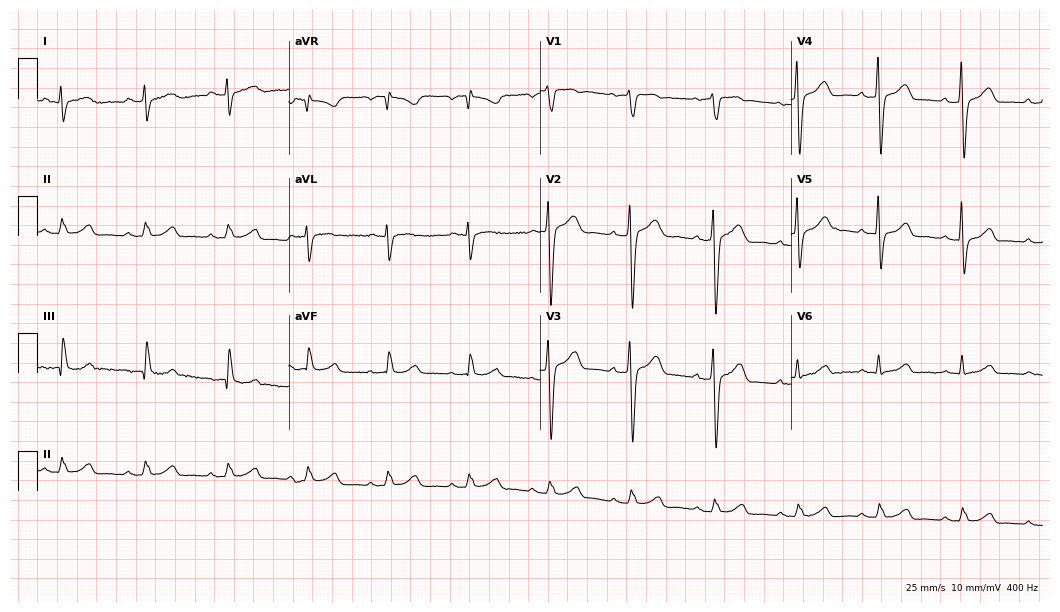
12-lead ECG from a 48-year-old man. No first-degree AV block, right bundle branch block, left bundle branch block, sinus bradycardia, atrial fibrillation or sinus tachycardia recorded for this tracing.